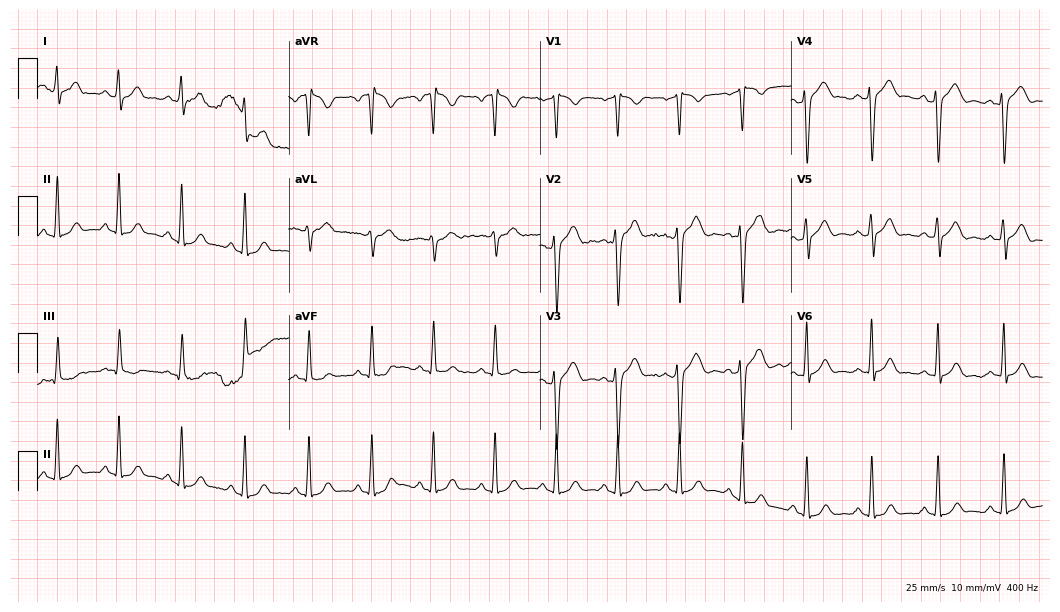
12-lead ECG from a 24-year-old male (10.2-second recording at 400 Hz). Recorded interpretation: within normal limits.